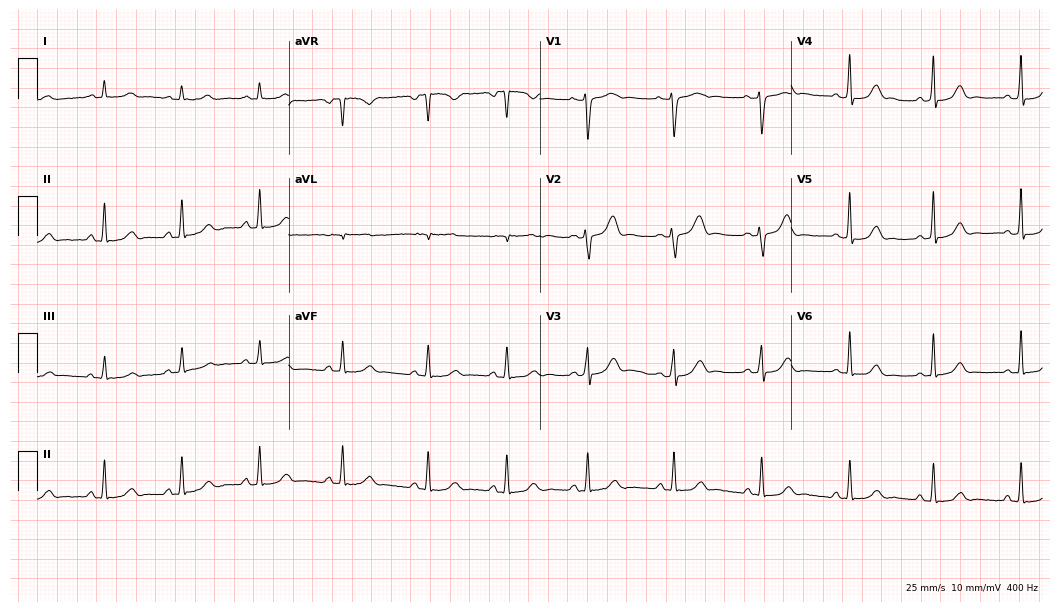
12-lead ECG (10.2-second recording at 400 Hz) from a 39-year-old female. Labelled as a normal ECG.